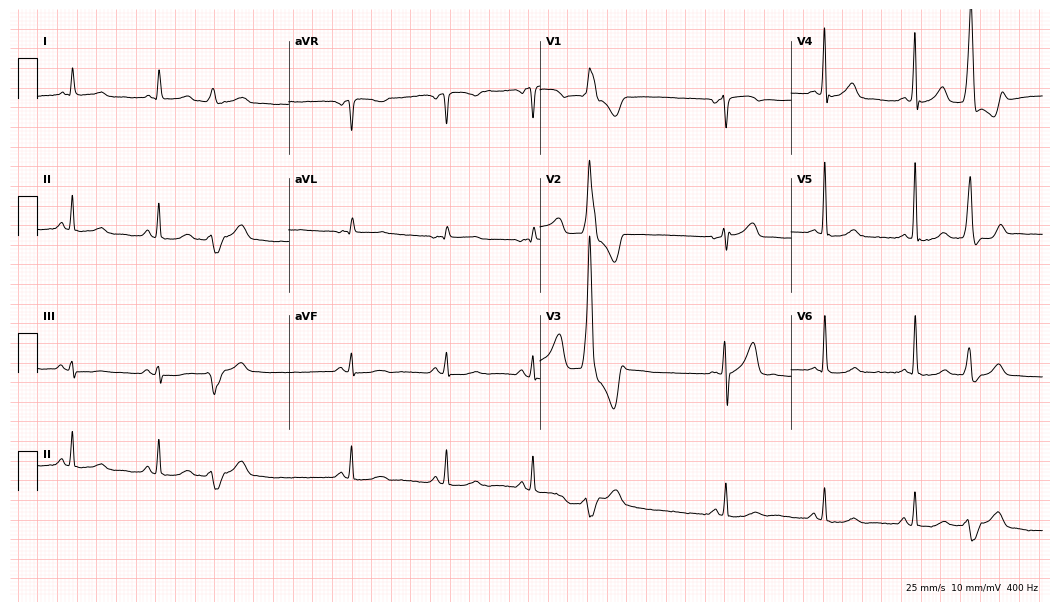
Standard 12-lead ECG recorded from an 85-year-old male (10.2-second recording at 400 Hz). None of these six findings is recorded: first-degree AV block, right bundle branch block, left bundle branch block, sinus bradycardia, atrial fibrillation, sinus tachycardia.